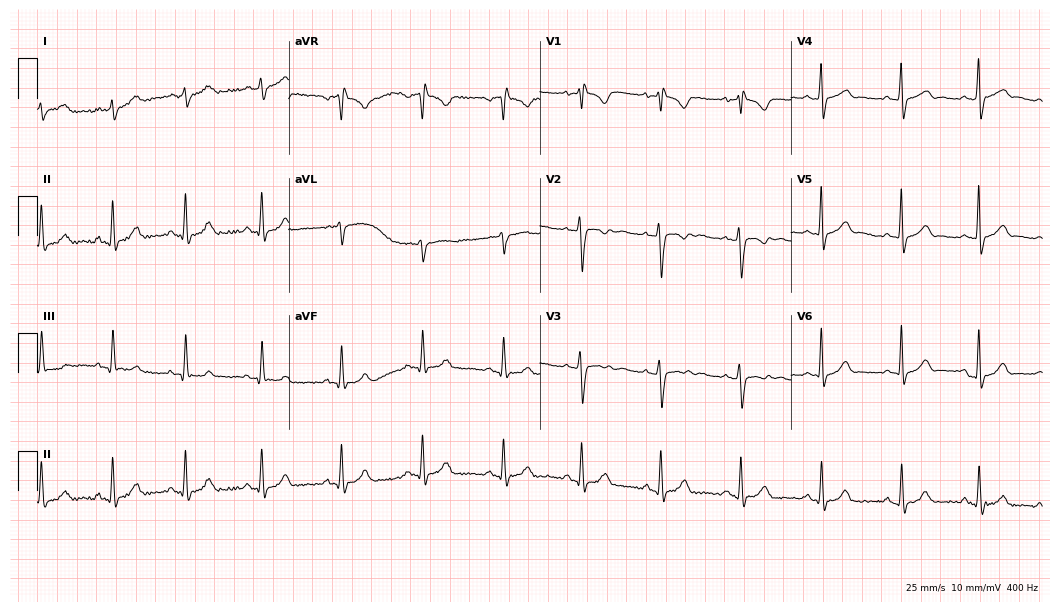
12-lead ECG from a 42-year-old woman (10.2-second recording at 400 Hz). No first-degree AV block, right bundle branch block, left bundle branch block, sinus bradycardia, atrial fibrillation or sinus tachycardia recorded for this tracing. Only these six findings were labelled.